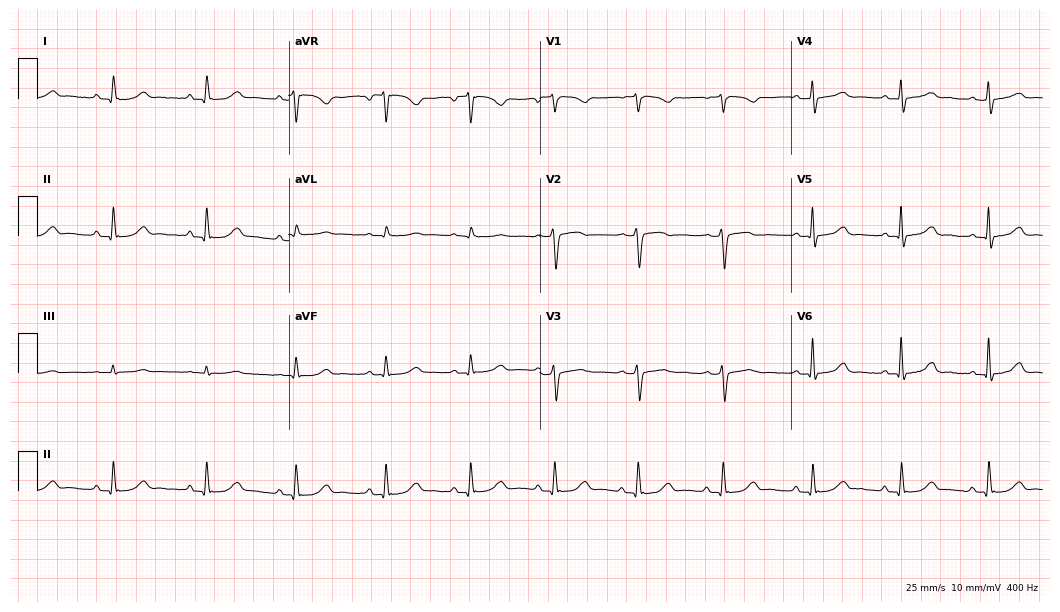
12-lead ECG from a 46-year-old female patient (10.2-second recording at 400 Hz). Recorded interpretation: within normal limits.